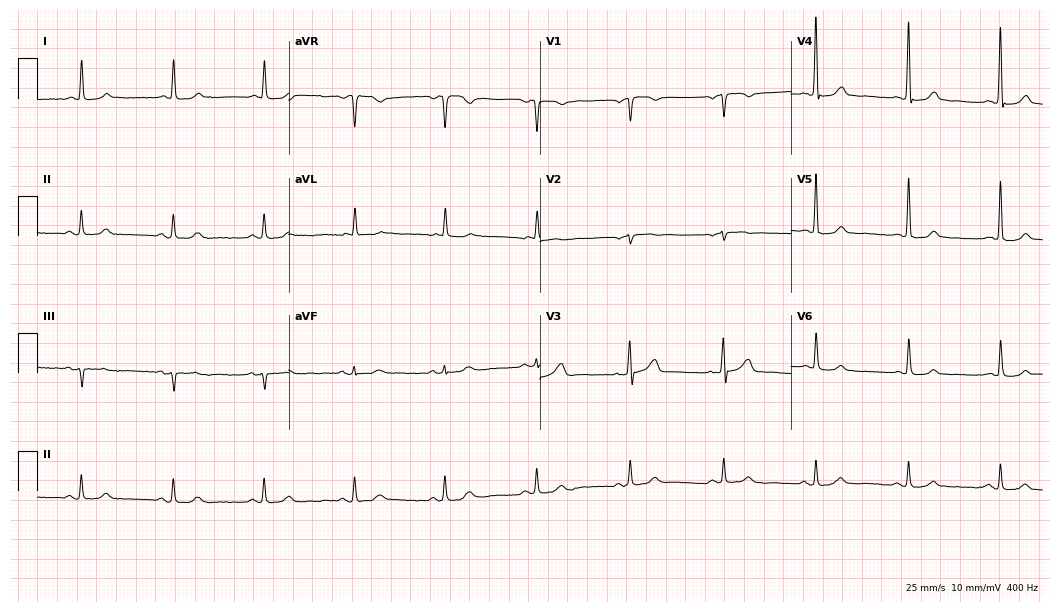
Electrocardiogram, a 75-year-old female. Of the six screened findings (first-degree AV block, right bundle branch block (RBBB), left bundle branch block (LBBB), sinus bradycardia, atrial fibrillation (AF), sinus tachycardia), none is recorded. Only these six findings were labelled.